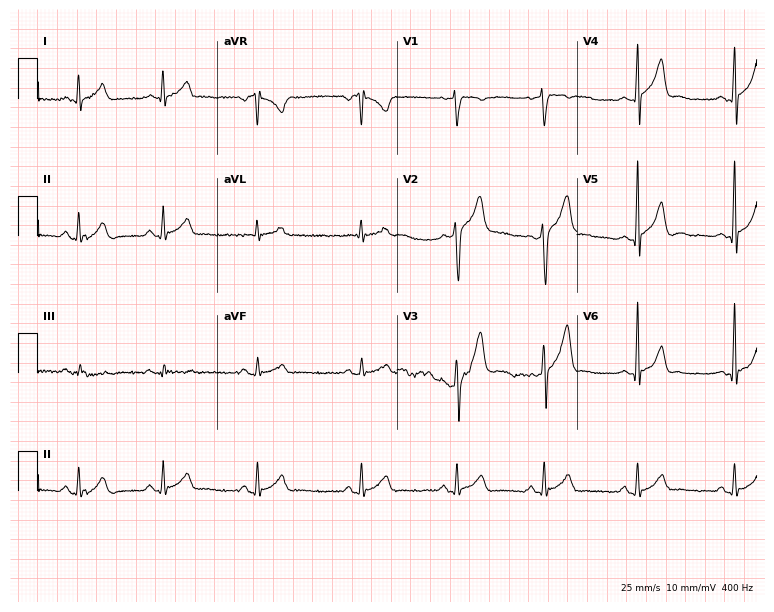
Electrocardiogram (7.3-second recording at 400 Hz), a 32-year-old man. Overall reading on record: normal ECG.